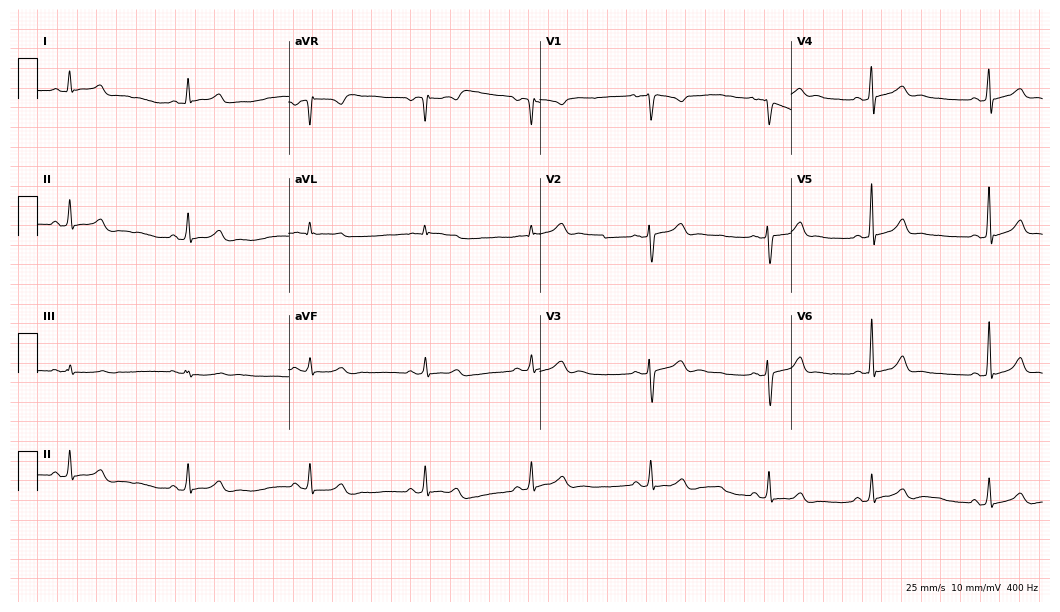
12-lead ECG from a 32-year-old female. Labelled as a normal ECG.